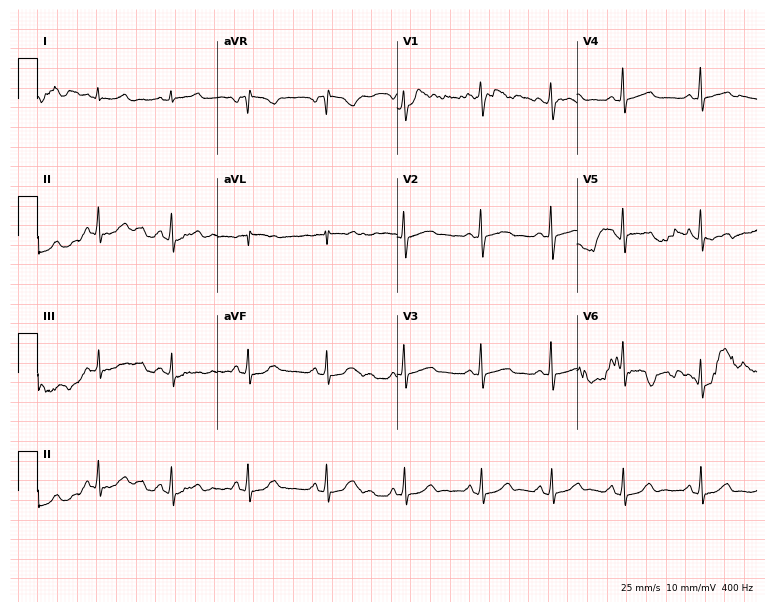
Standard 12-lead ECG recorded from a 26-year-old woman. Read as a normal ECG.